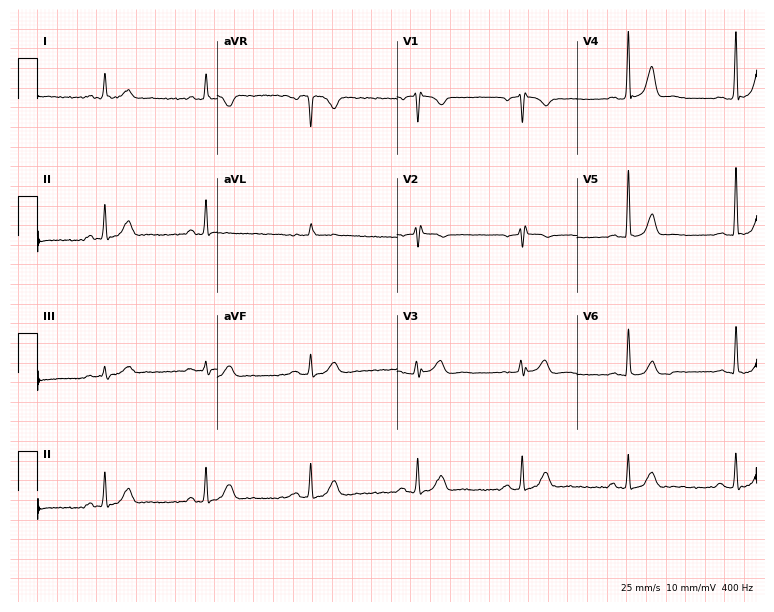
12-lead ECG (7.3-second recording at 400 Hz) from a 47-year-old male patient. Screened for six findings — first-degree AV block, right bundle branch block (RBBB), left bundle branch block (LBBB), sinus bradycardia, atrial fibrillation (AF), sinus tachycardia — none is recorded. Findings outside these six are not listed.